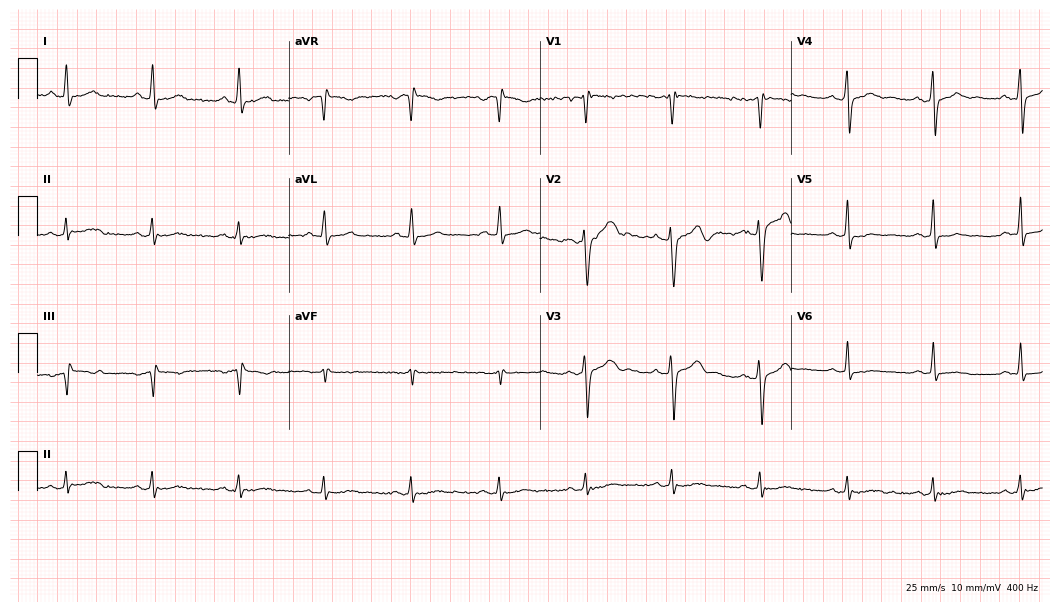
Standard 12-lead ECG recorded from a 48-year-old male patient. None of these six findings is recorded: first-degree AV block, right bundle branch block, left bundle branch block, sinus bradycardia, atrial fibrillation, sinus tachycardia. Findings outside these six are not listed.